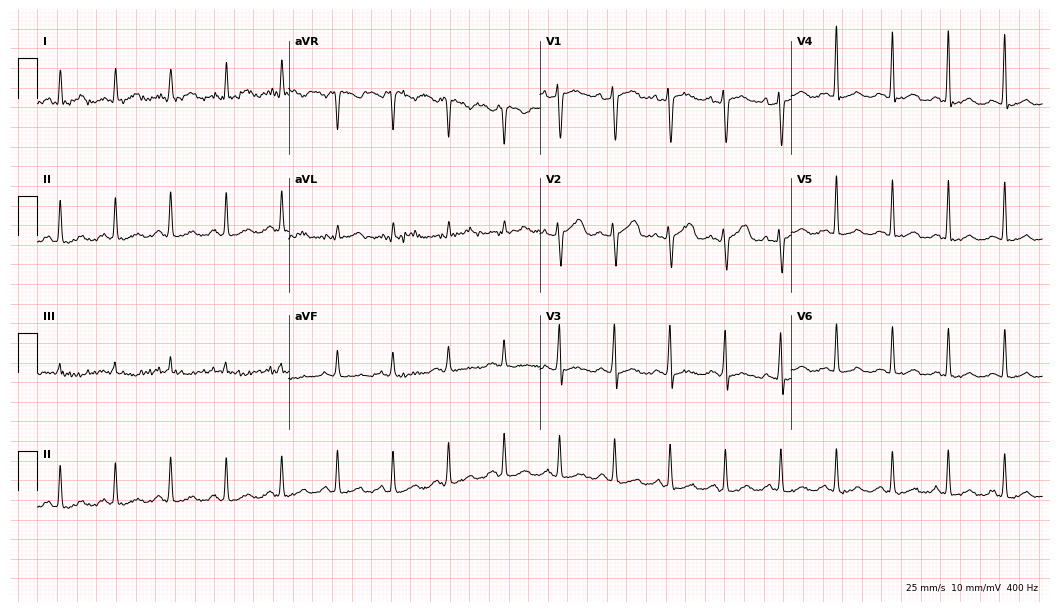
Resting 12-lead electrocardiogram (10.2-second recording at 400 Hz). Patient: a 50-year-old woman. None of these six findings is recorded: first-degree AV block, right bundle branch block (RBBB), left bundle branch block (LBBB), sinus bradycardia, atrial fibrillation (AF), sinus tachycardia.